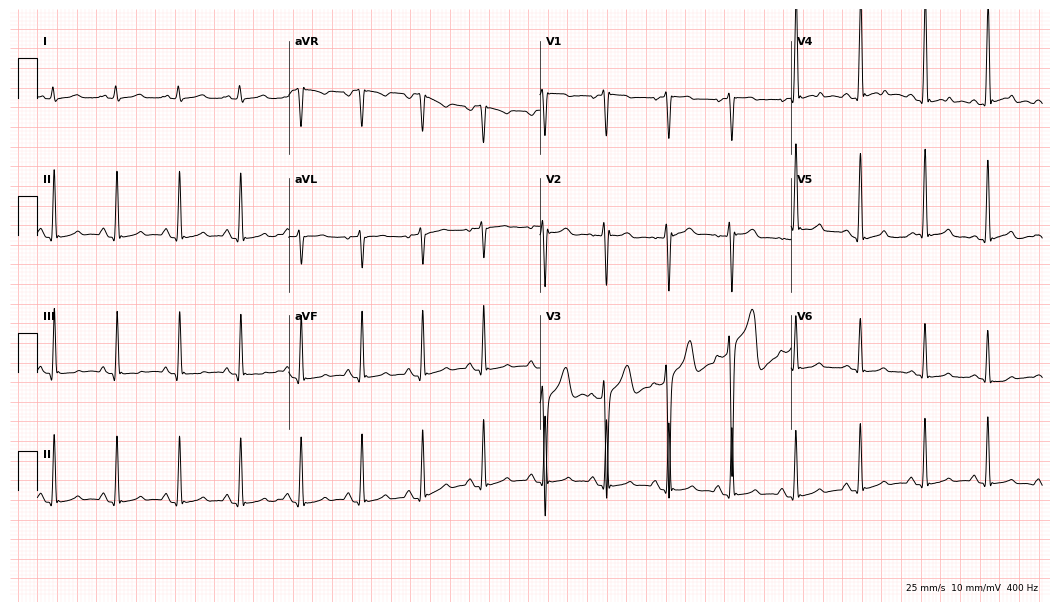
12-lead ECG from a male, 35 years old. Recorded interpretation: within normal limits.